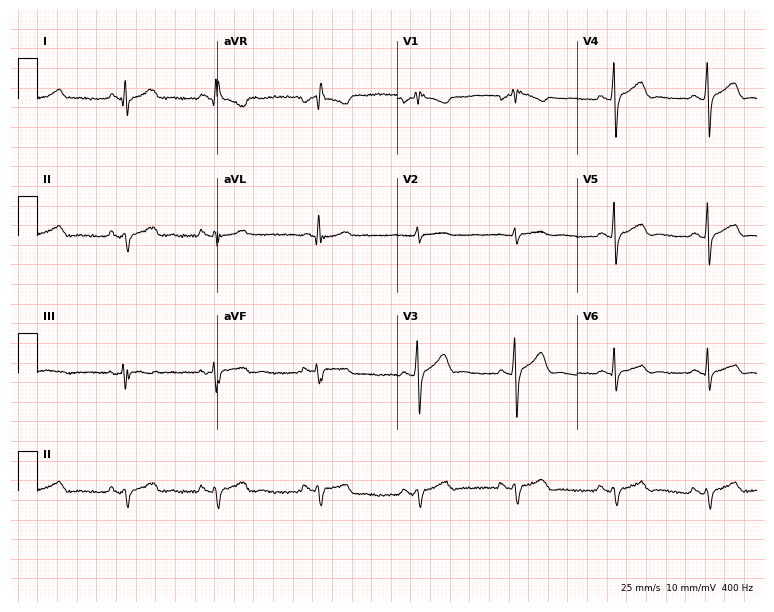
12-lead ECG from a male patient, 33 years old. No first-degree AV block, right bundle branch block, left bundle branch block, sinus bradycardia, atrial fibrillation or sinus tachycardia recorded for this tracing.